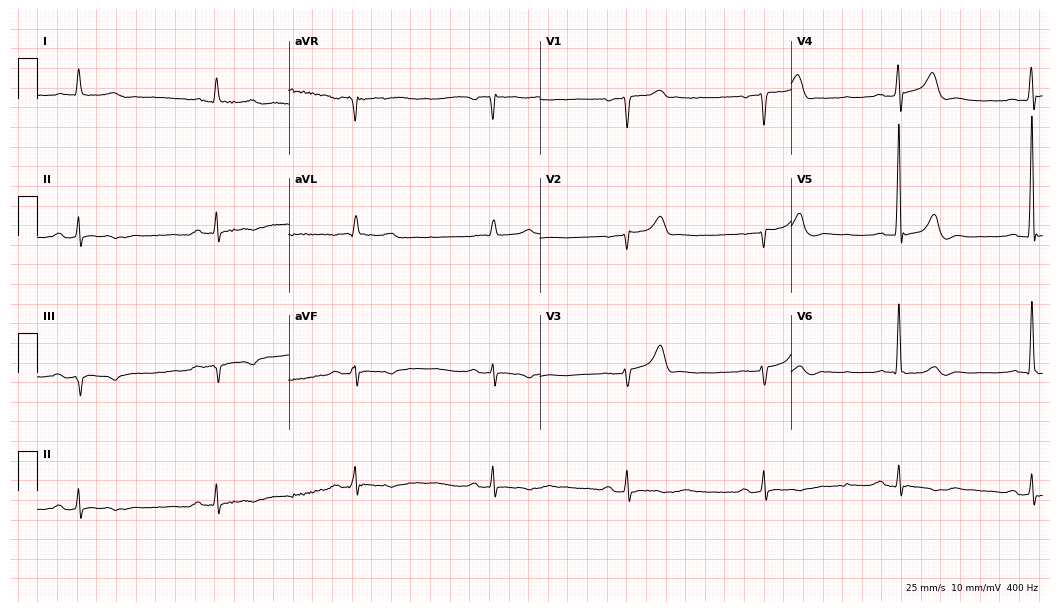
Standard 12-lead ECG recorded from a male, 76 years old. The tracing shows sinus bradycardia (a sinus rate of 50 beats per minute or less).